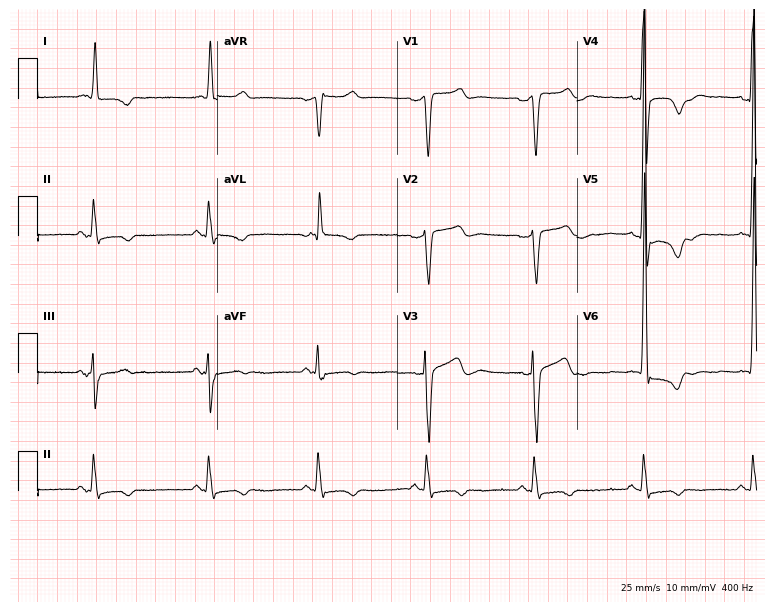
Standard 12-lead ECG recorded from a man, 78 years old (7.3-second recording at 400 Hz). None of these six findings is recorded: first-degree AV block, right bundle branch block, left bundle branch block, sinus bradycardia, atrial fibrillation, sinus tachycardia. Findings outside these six are not listed.